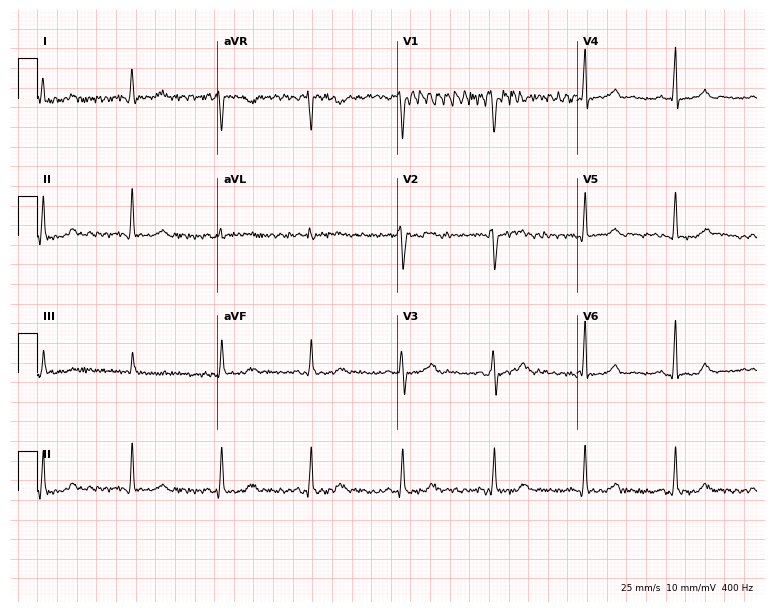
12-lead ECG from a 39-year-old female. No first-degree AV block, right bundle branch block (RBBB), left bundle branch block (LBBB), sinus bradycardia, atrial fibrillation (AF) or sinus tachycardia recorded for this tracing. Findings outside these six are not listed.